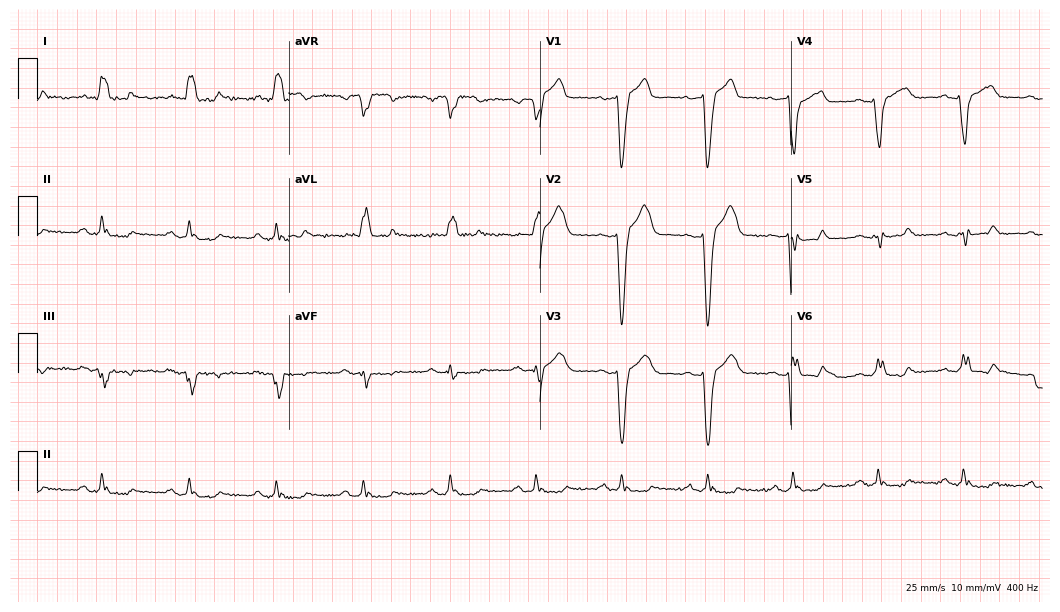
12-lead ECG from a man, 67 years old. No first-degree AV block, right bundle branch block, left bundle branch block, sinus bradycardia, atrial fibrillation or sinus tachycardia recorded for this tracing.